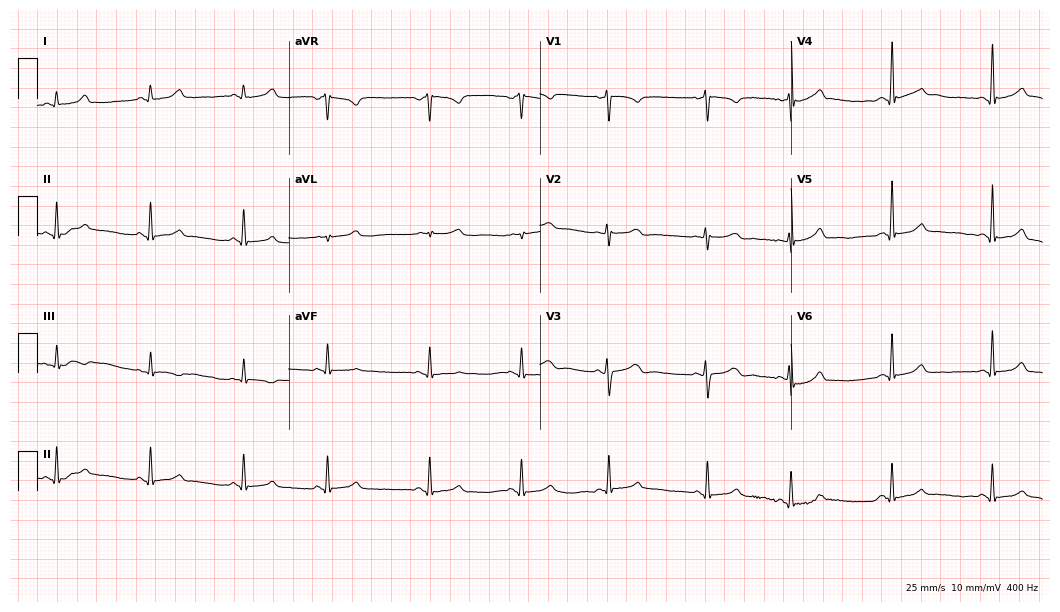
Electrocardiogram (10.2-second recording at 400 Hz), a 19-year-old female patient. Overall reading on record: normal ECG.